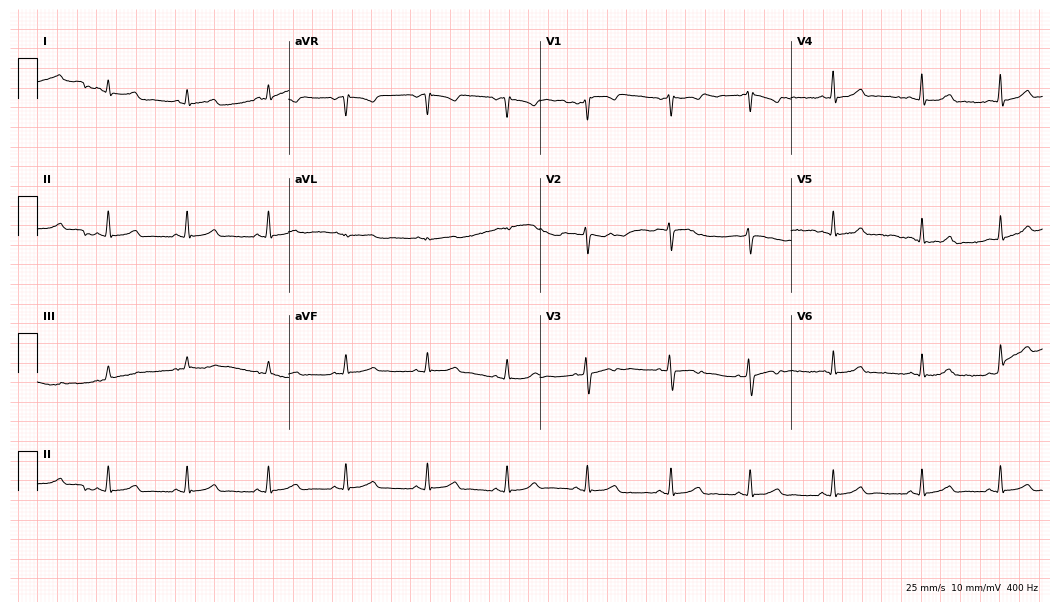
ECG (10.2-second recording at 400 Hz) — a 31-year-old woman. Labelled as a normal ECG.